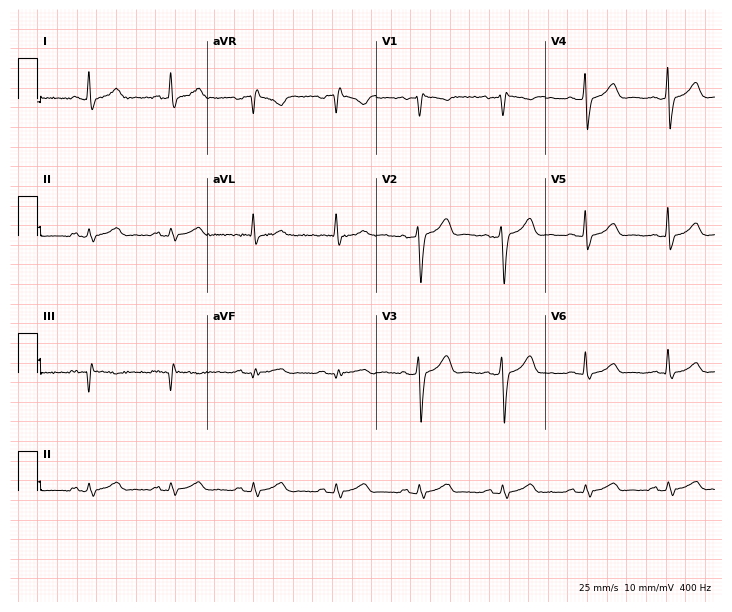
Resting 12-lead electrocardiogram. Patient: a female, 50 years old. None of these six findings is recorded: first-degree AV block, right bundle branch block (RBBB), left bundle branch block (LBBB), sinus bradycardia, atrial fibrillation (AF), sinus tachycardia. Findings outside these six are not listed.